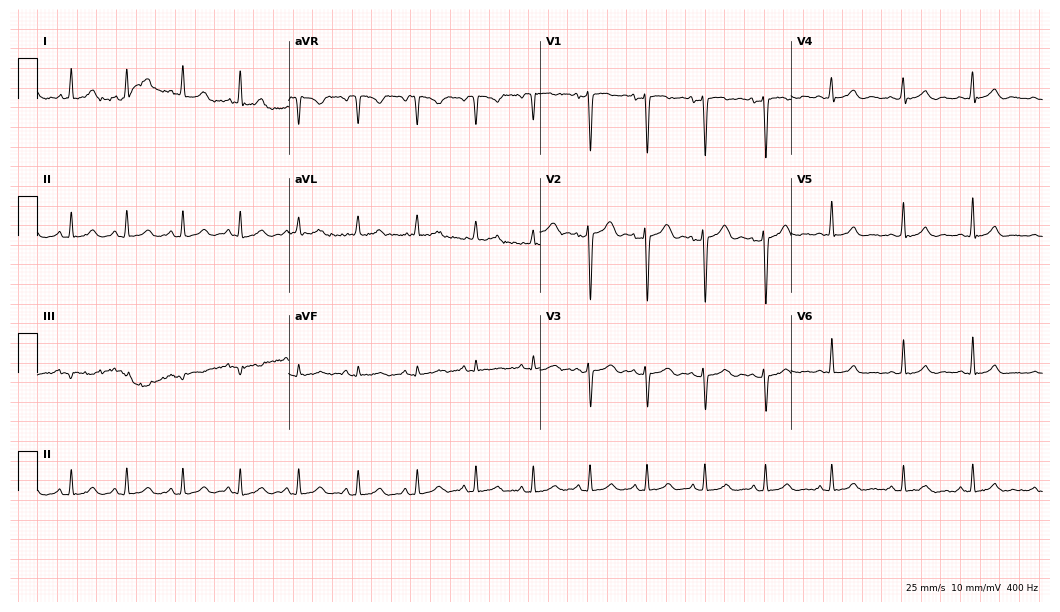
ECG (10.2-second recording at 400 Hz) — a 26-year-old woman. Labelled as a normal ECG.